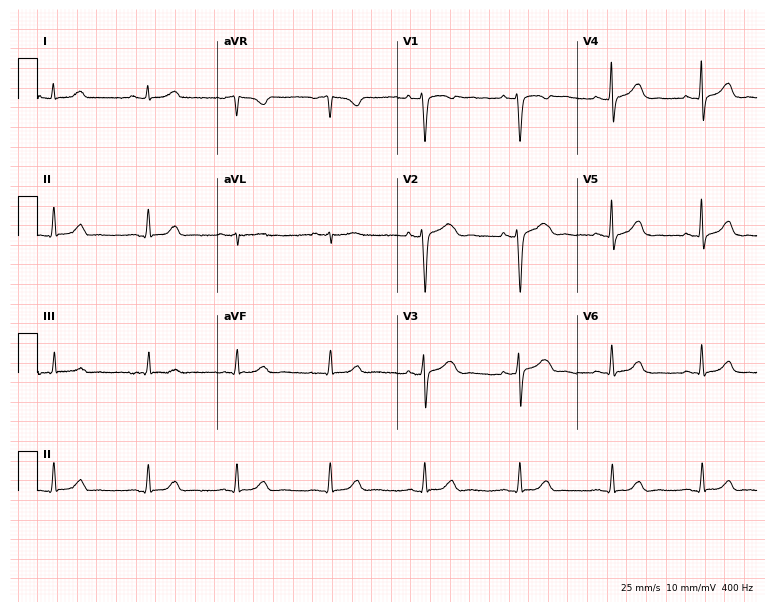
12-lead ECG from a female, 40 years old. Labelled as a normal ECG.